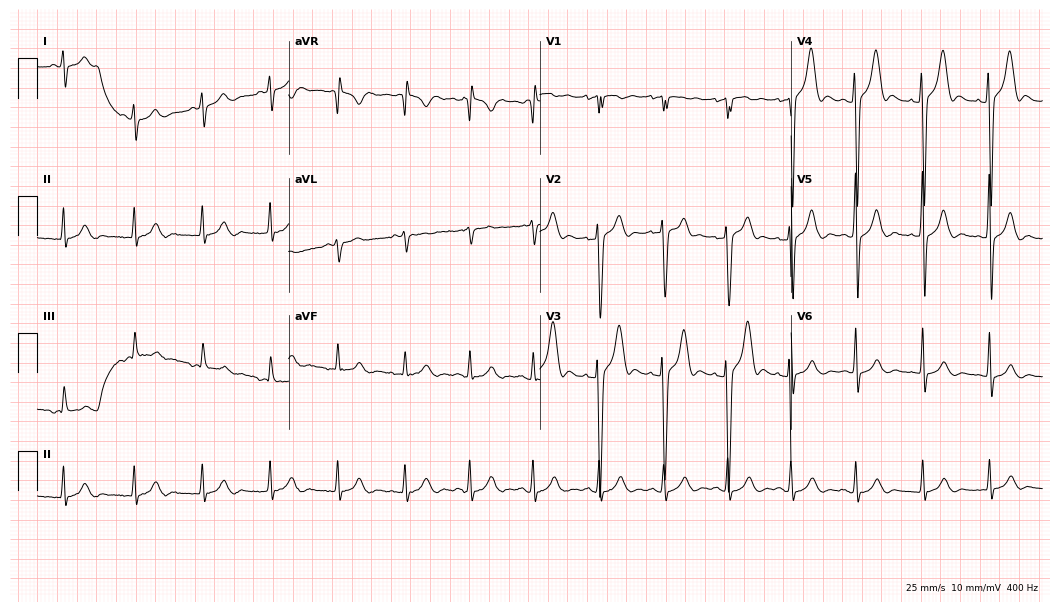
12-lead ECG (10.2-second recording at 400 Hz) from a 23-year-old male. Labelled as a normal ECG.